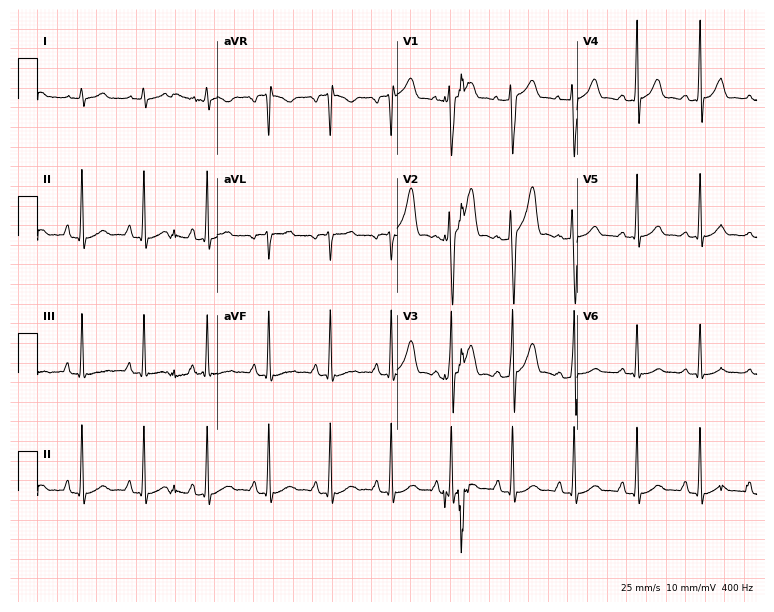
Resting 12-lead electrocardiogram. Patient: a 29-year-old man. Read as a normal ECG.